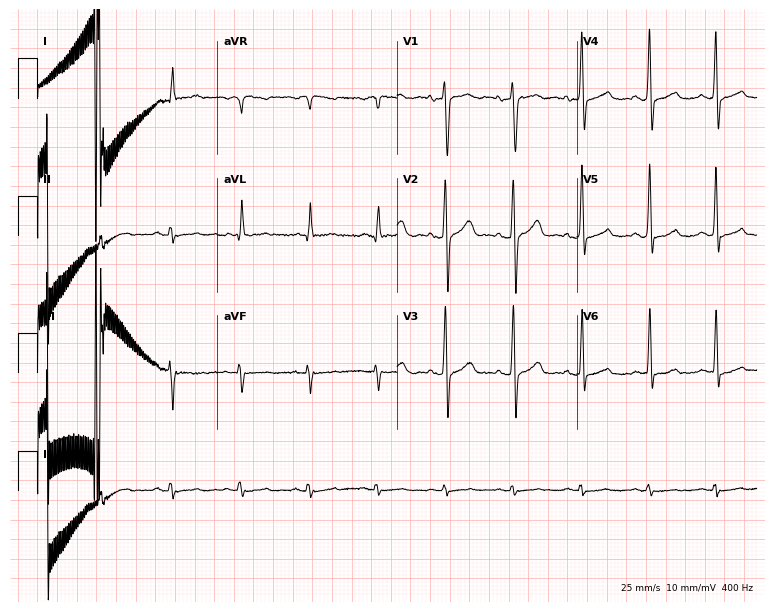
12-lead ECG from a 56-year-old male patient. Recorded interpretation: within normal limits.